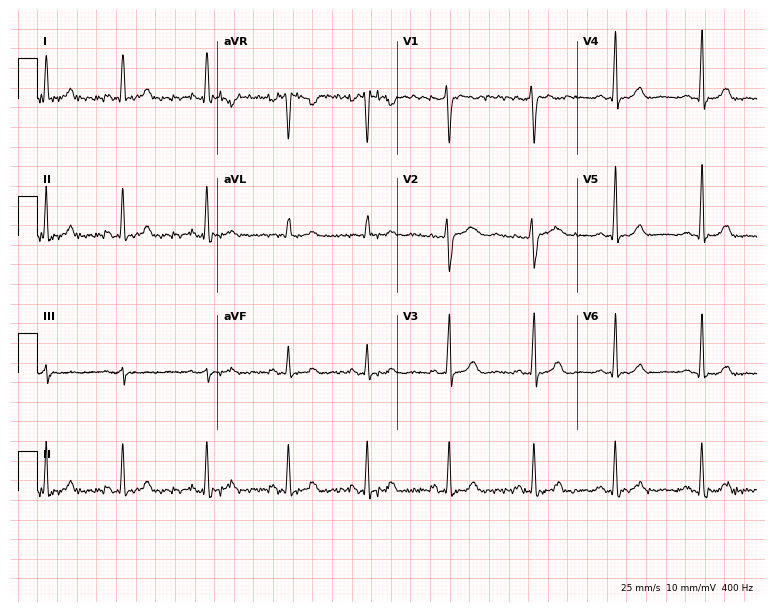
ECG (7.3-second recording at 400 Hz) — a 29-year-old woman. Screened for six findings — first-degree AV block, right bundle branch block, left bundle branch block, sinus bradycardia, atrial fibrillation, sinus tachycardia — none is recorded. Only these six findings were labelled.